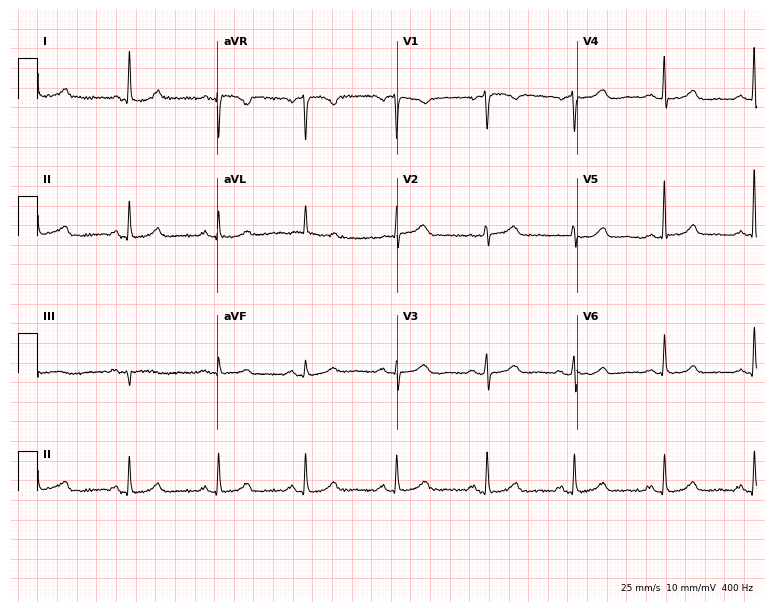
Standard 12-lead ECG recorded from a female patient, 50 years old. Read as a normal ECG.